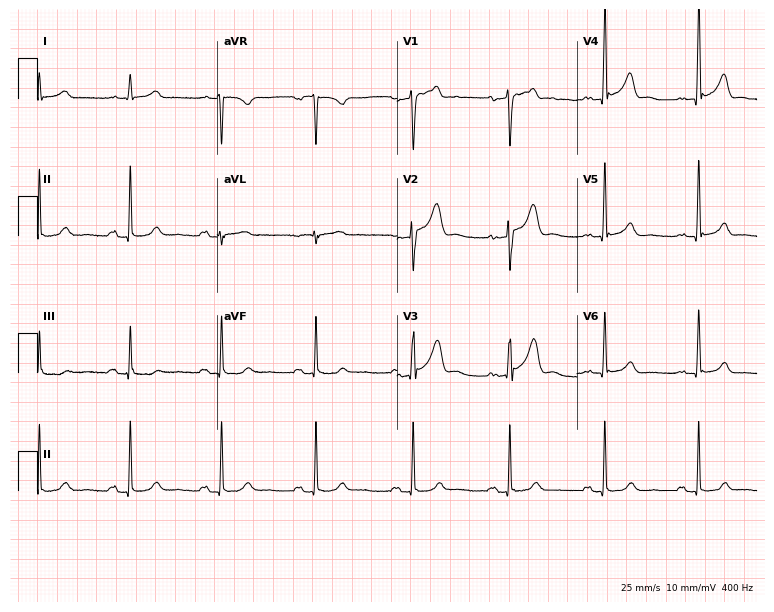
Electrocardiogram (7.3-second recording at 400 Hz), a 64-year-old male patient. Overall reading on record: normal ECG.